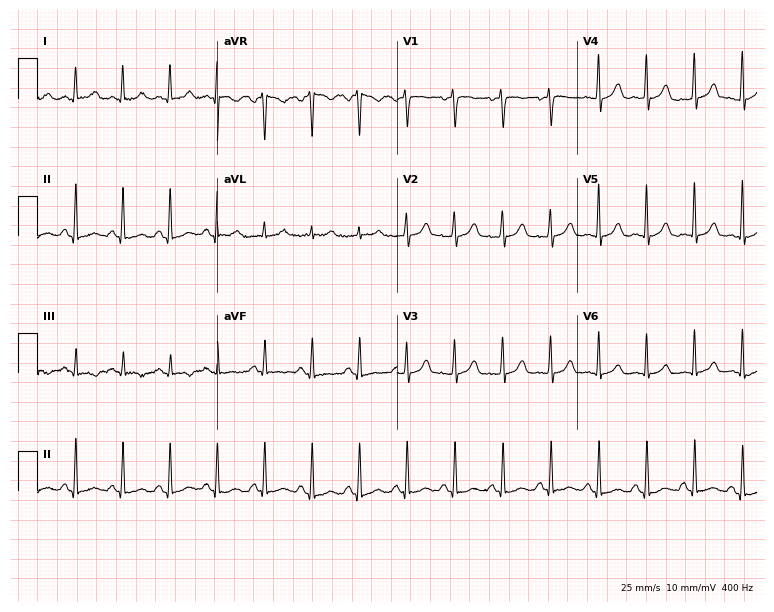
Resting 12-lead electrocardiogram. Patient: a female, 45 years old. The tracing shows sinus tachycardia (a sinus rate of 100 beats per minute or more).